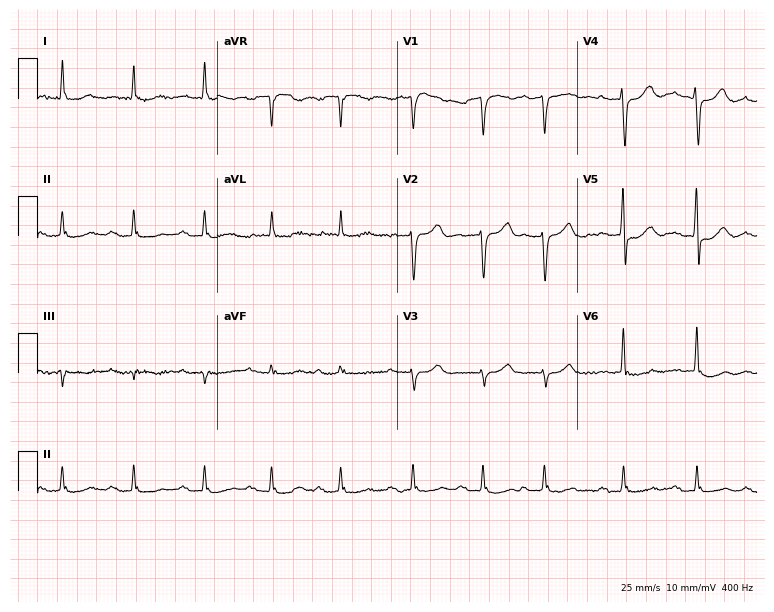
Electrocardiogram (7.3-second recording at 400 Hz), a 70-year-old male. Interpretation includes atrial fibrillation.